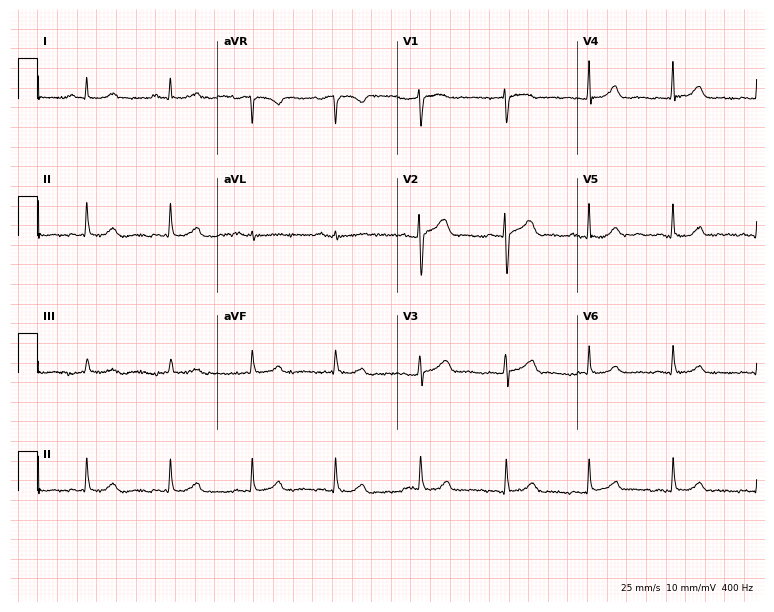
Resting 12-lead electrocardiogram. Patient: a 42-year-old female. Read as a normal ECG.